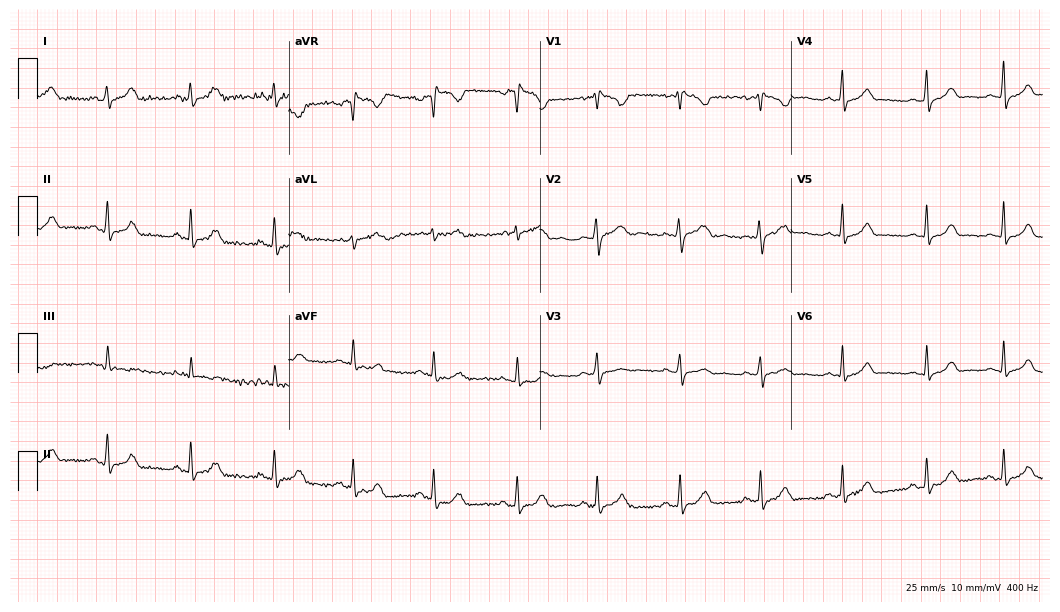
12-lead ECG from a woman, 28 years old. Recorded interpretation: within normal limits.